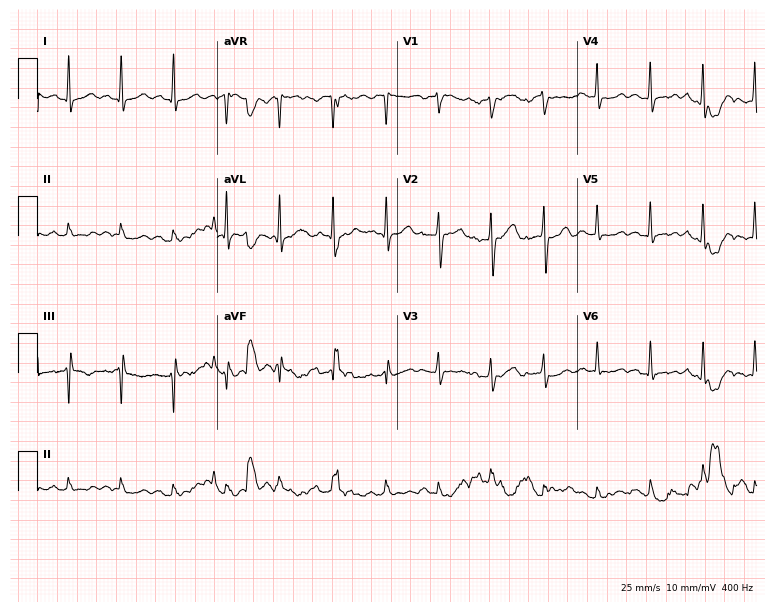
ECG (7.3-second recording at 400 Hz) — a male patient, 57 years old. Findings include sinus tachycardia (a sinus rate of 100 beats per minute or more).